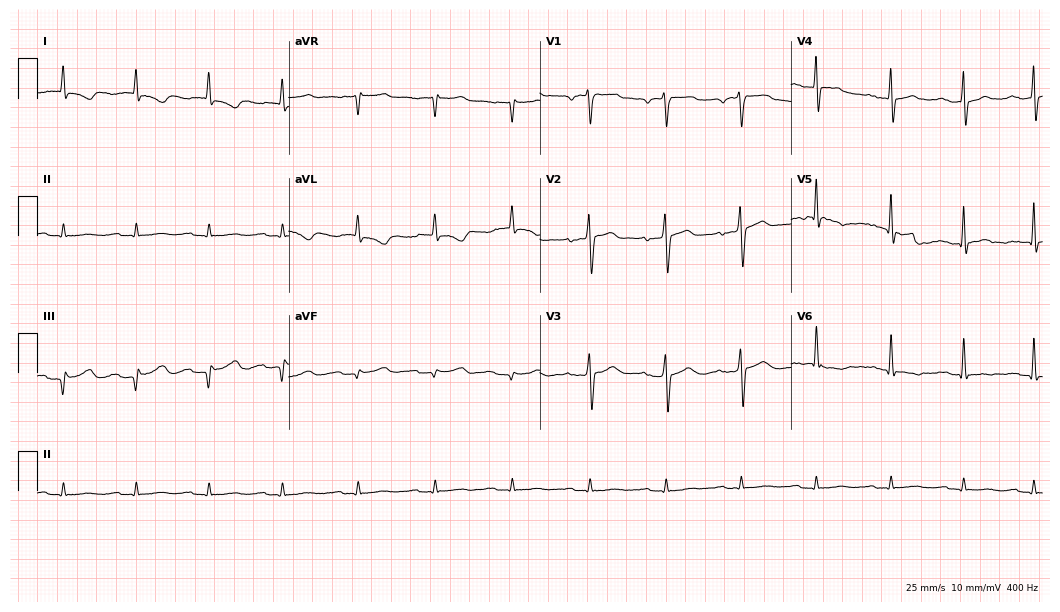
Electrocardiogram (10.2-second recording at 400 Hz), a 66-year-old male. Interpretation includes first-degree AV block.